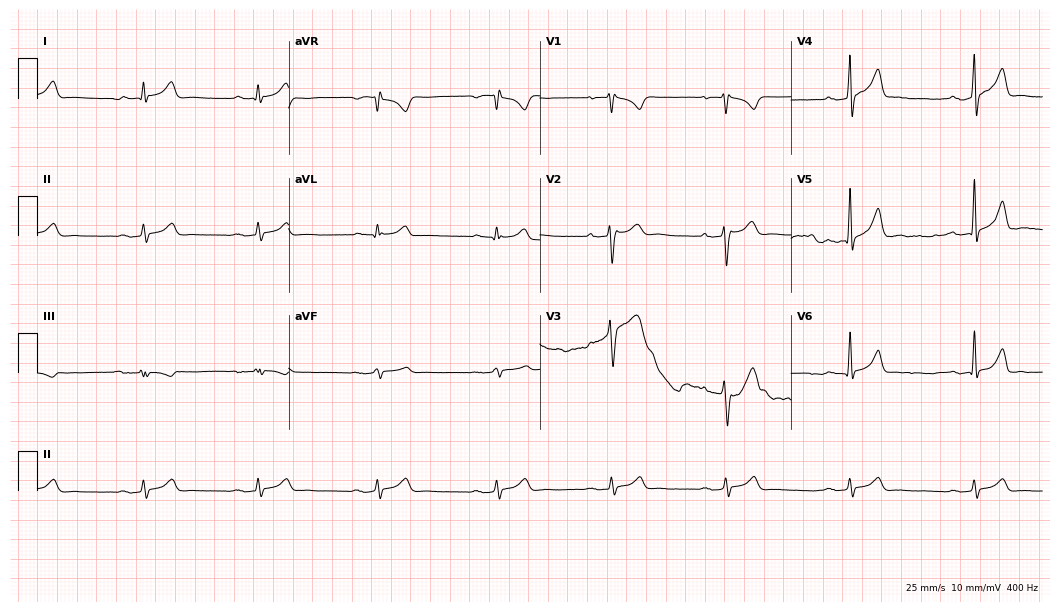
12-lead ECG from a male, 34 years old (10.2-second recording at 400 Hz). No first-degree AV block, right bundle branch block, left bundle branch block, sinus bradycardia, atrial fibrillation or sinus tachycardia recorded for this tracing.